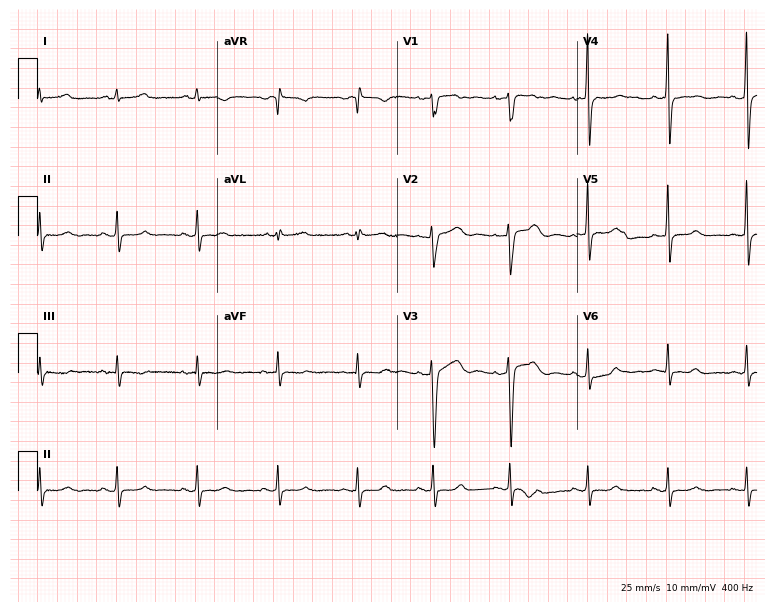
ECG (7.3-second recording at 400 Hz) — a 25-year-old female patient. Screened for six findings — first-degree AV block, right bundle branch block (RBBB), left bundle branch block (LBBB), sinus bradycardia, atrial fibrillation (AF), sinus tachycardia — none is recorded.